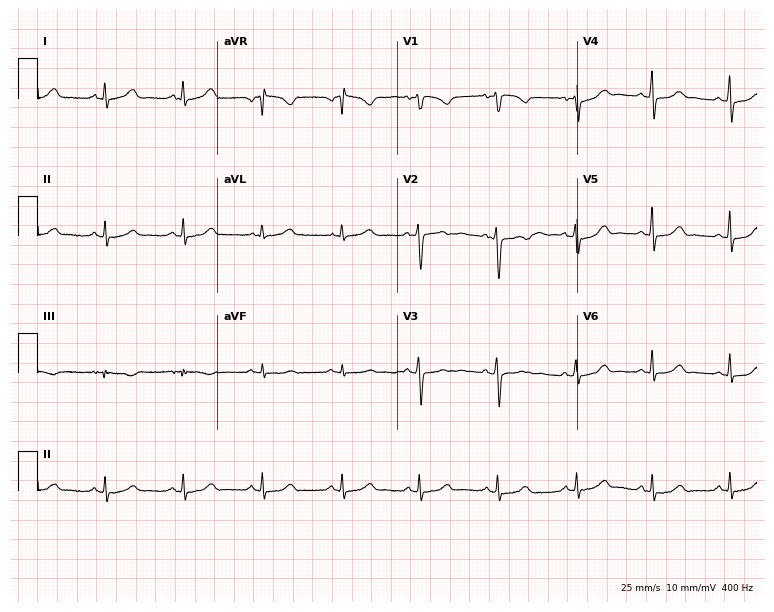
Resting 12-lead electrocardiogram (7.3-second recording at 400 Hz). Patient: a 35-year-old woman. Read as a normal ECG.